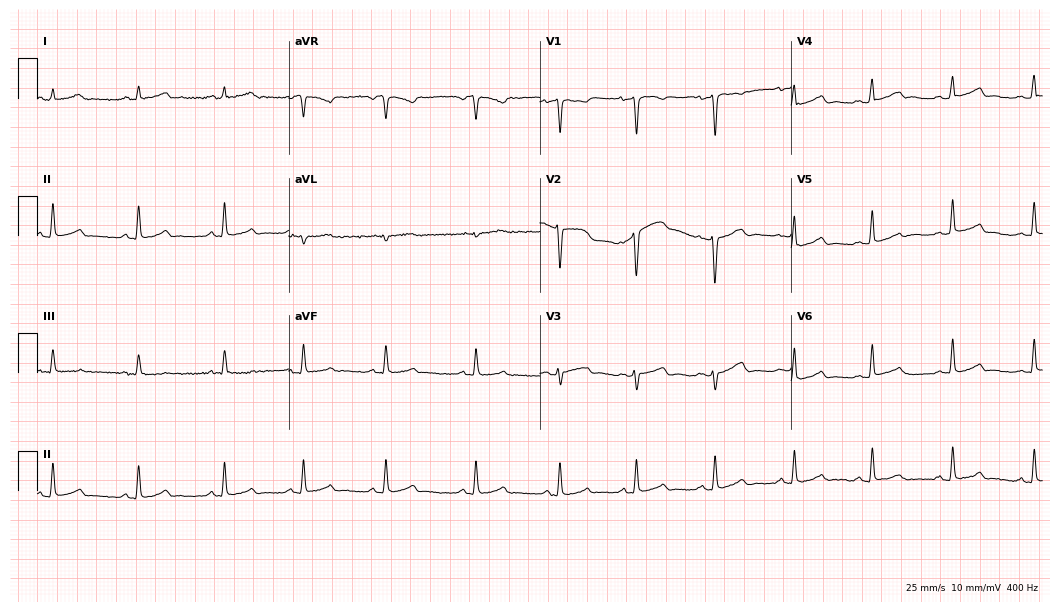
ECG — a female patient, 22 years old. Labelled as a normal ECG.